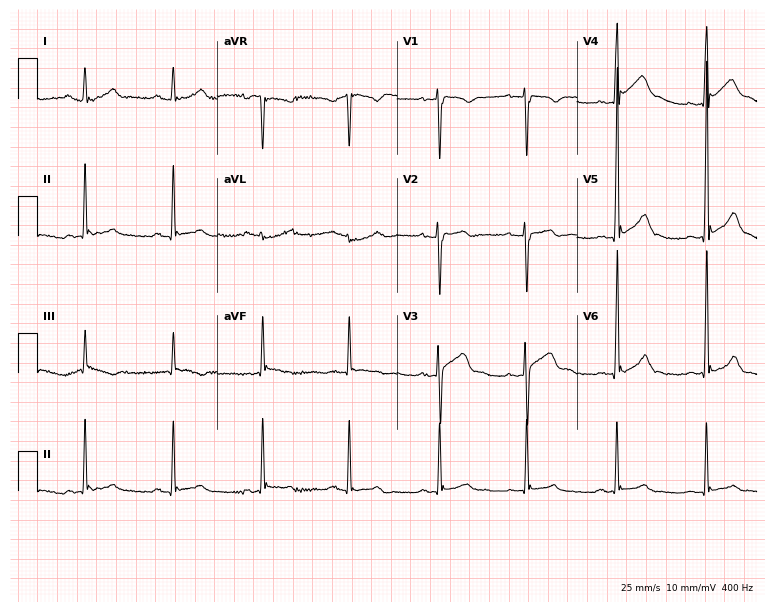
12-lead ECG (7.3-second recording at 400 Hz) from a male, 22 years old. Screened for six findings — first-degree AV block, right bundle branch block, left bundle branch block, sinus bradycardia, atrial fibrillation, sinus tachycardia — none is recorded.